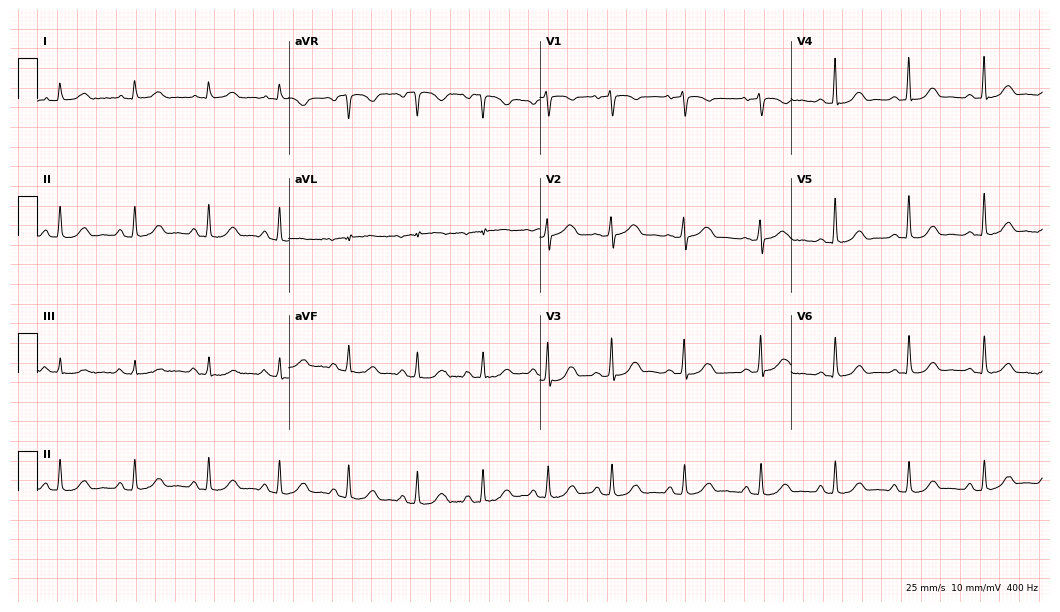
12-lead ECG from a female patient, 61 years old. Recorded interpretation: within normal limits.